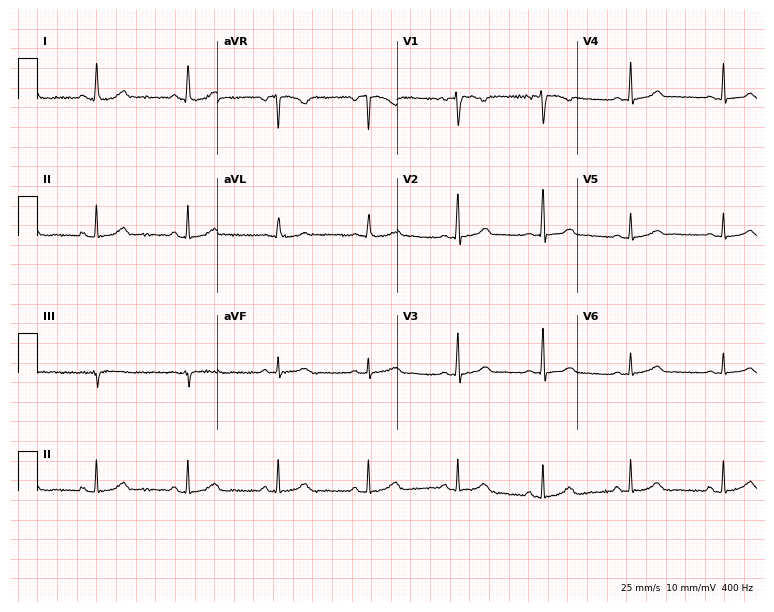
Electrocardiogram (7.3-second recording at 400 Hz), a 24-year-old woman. Overall reading on record: normal ECG.